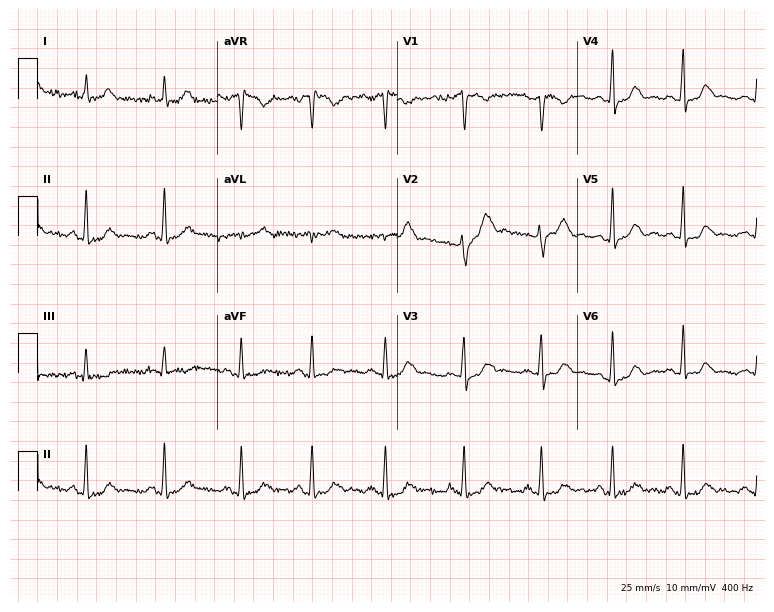
Standard 12-lead ECG recorded from a female, 28 years old. Read as a normal ECG.